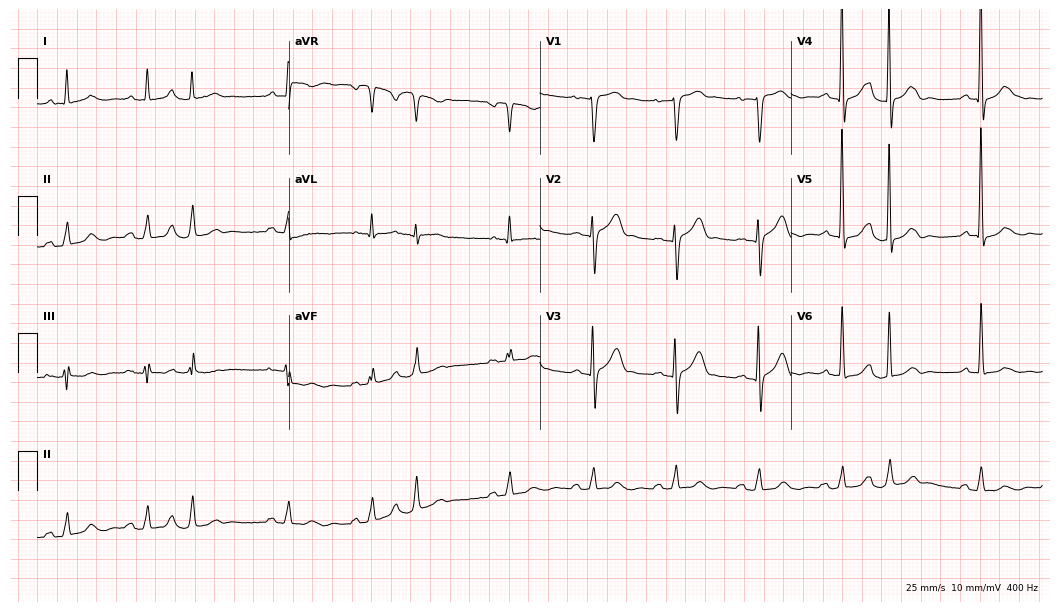
Standard 12-lead ECG recorded from a 40-year-old man (10.2-second recording at 400 Hz). None of these six findings is recorded: first-degree AV block, right bundle branch block (RBBB), left bundle branch block (LBBB), sinus bradycardia, atrial fibrillation (AF), sinus tachycardia. Findings outside these six are not listed.